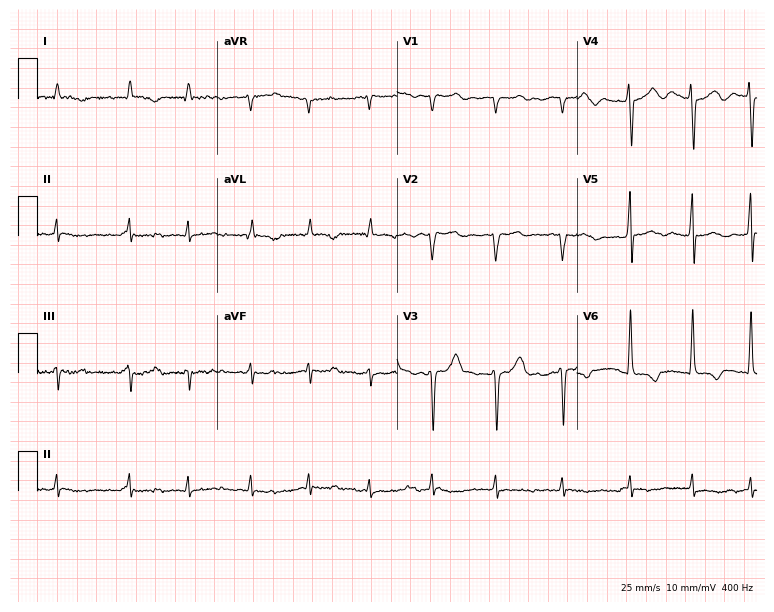
Electrocardiogram (7.3-second recording at 400 Hz), a 70-year-old male patient. Interpretation includes first-degree AV block, atrial fibrillation (AF).